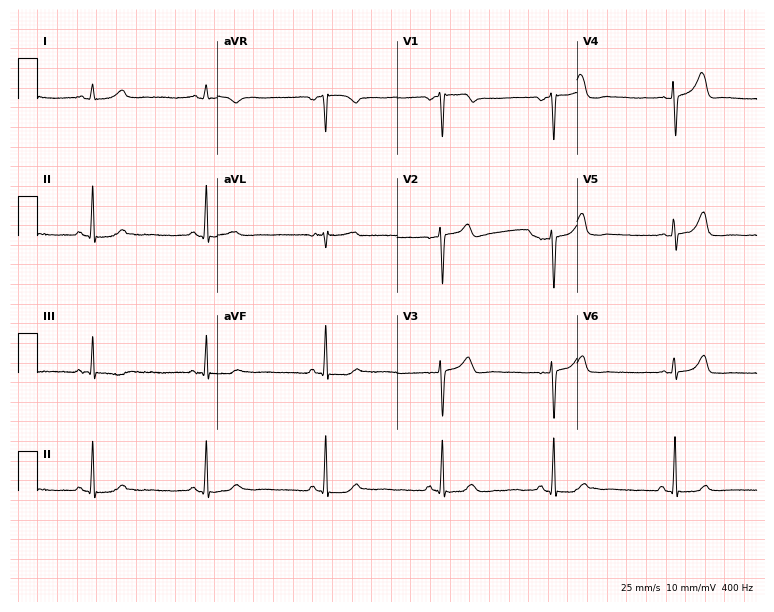
Resting 12-lead electrocardiogram (7.3-second recording at 400 Hz). Patient: a man, 65 years old. None of these six findings is recorded: first-degree AV block, right bundle branch block, left bundle branch block, sinus bradycardia, atrial fibrillation, sinus tachycardia. Only these six findings were labelled.